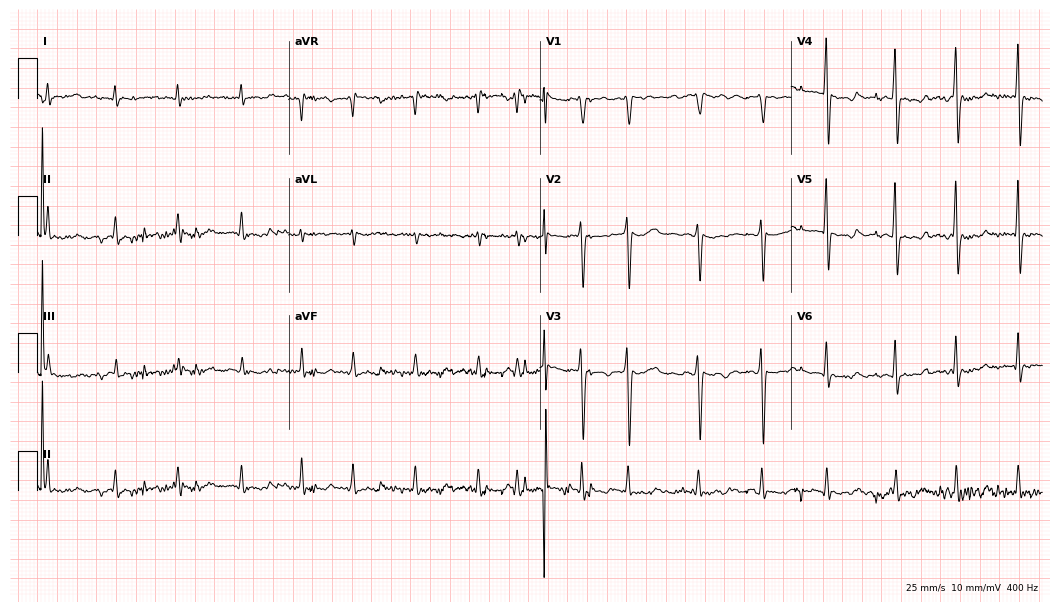
Standard 12-lead ECG recorded from a male, 53 years old. The tracing shows atrial fibrillation.